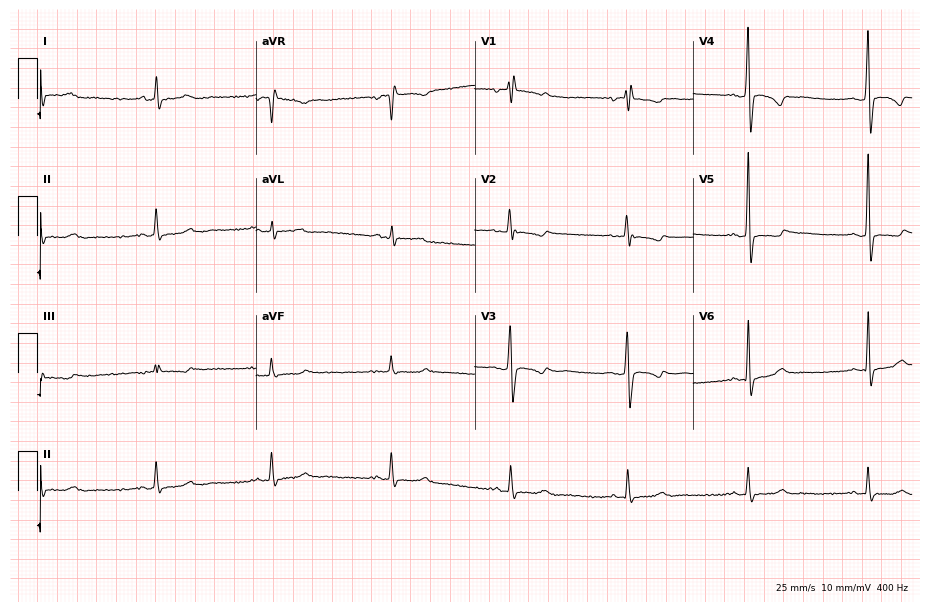
Resting 12-lead electrocardiogram. Patient: a man, 37 years old. The tracing shows sinus bradycardia (a sinus rate of 50 beats per minute or less).